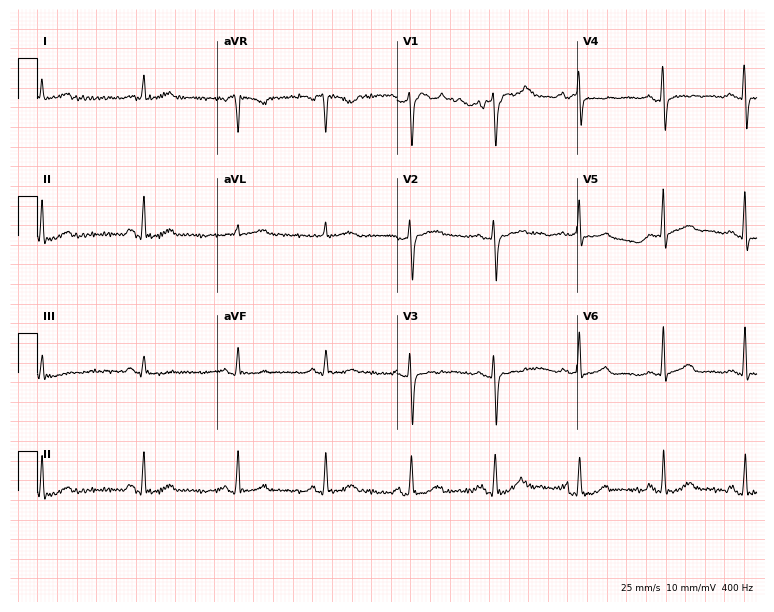
Electrocardiogram, a female, 57 years old. Of the six screened findings (first-degree AV block, right bundle branch block, left bundle branch block, sinus bradycardia, atrial fibrillation, sinus tachycardia), none is recorded. Only these six findings were labelled.